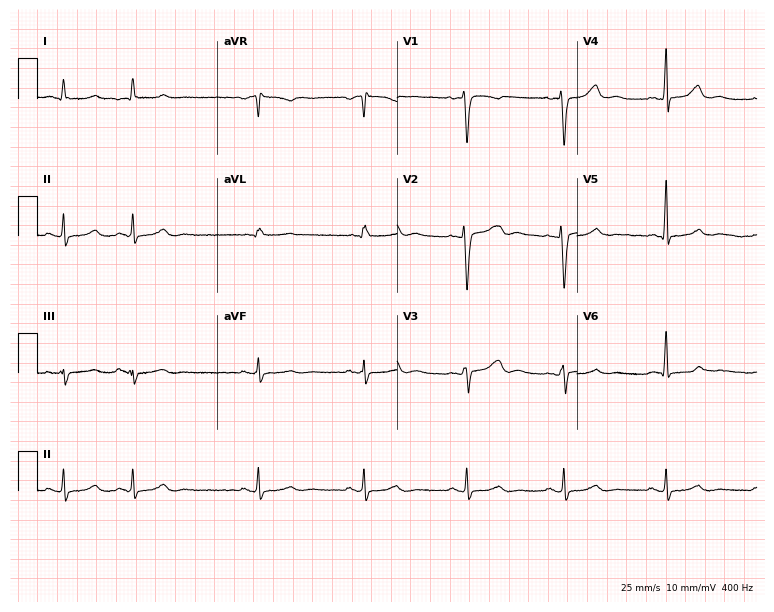
ECG — a female, 43 years old. Screened for six findings — first-degree AV block, right bundle branch block (RBBB), left bundle branch block (LBBB), sinus bradycardia, atrial fibrillation (AF), sinus tachycardia — none is recorded. Only these six findings were labelled.